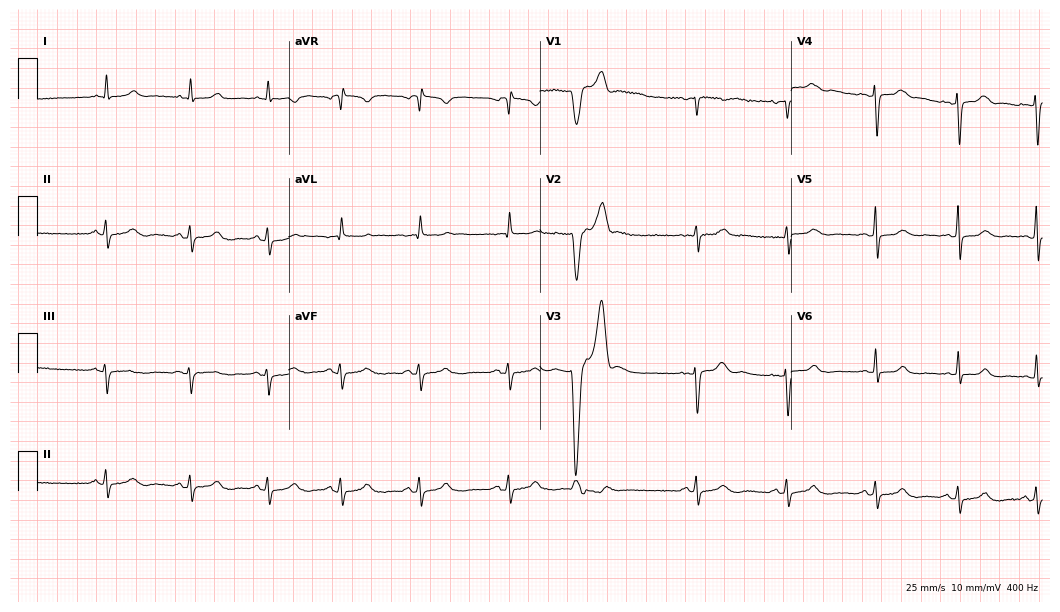
ECG (10.2-second recording at 400 Hz) — a female patient, 31 years old. Labelled as a normal ECG.